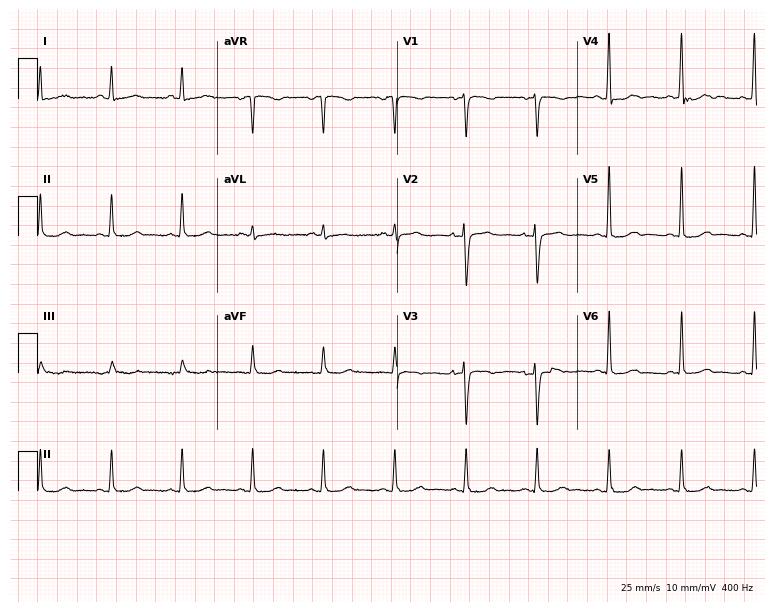
12-lead ECG from a female, 67 years old (7.3-second recording at 400 Hz). No first-degree AV block, right bundle branch block (RBBB), left bundle branch block (LBBB), sinus bradycardia, atrial fibrillation (AF) or sinus tachycardia recorded for this tracing.